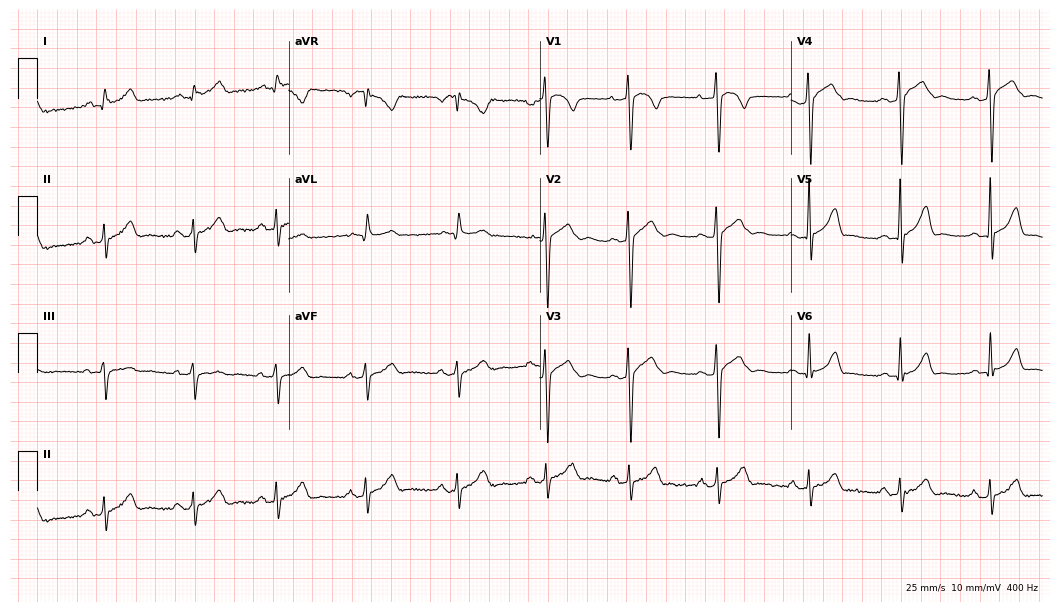
Electrocardiogram, a 21-year-old male. Of the six screened findings (first-degree AV block, right bundle branch block, left bundle branch block, sinus bradycardia, atrial fibrillation, sinus tachycardia), none is recorded. Findings outside these six are not listed.